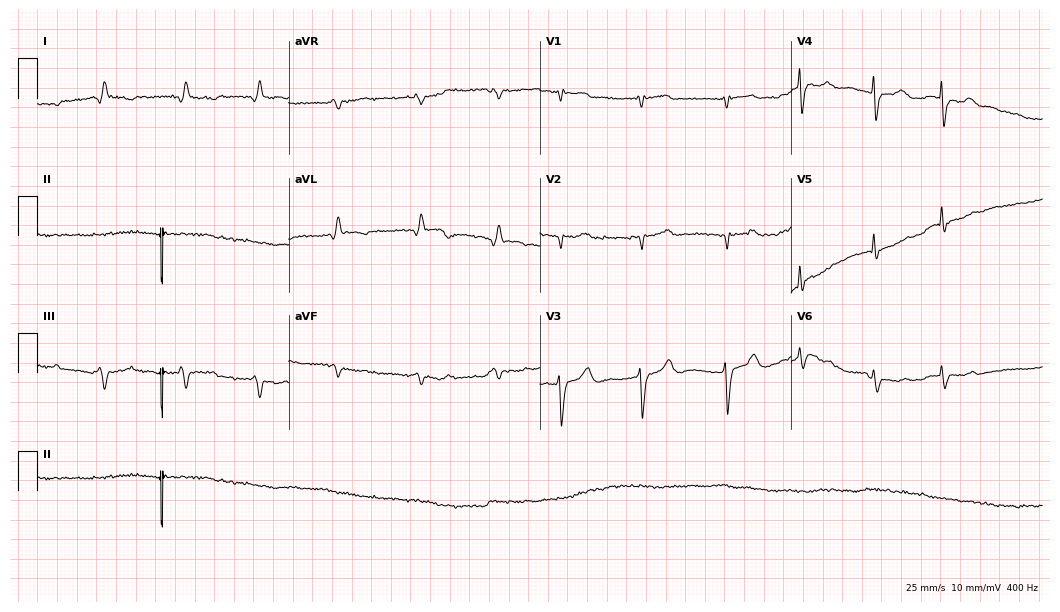
Resting 12-lead electrocardiogram. Patient: an 85-year-old male. None of these six findings is recorded: first-degree AV block, right bundle branch block, left bundle branch block, sinus bradycardia, atrial fibrillation, sinus tachycardia.